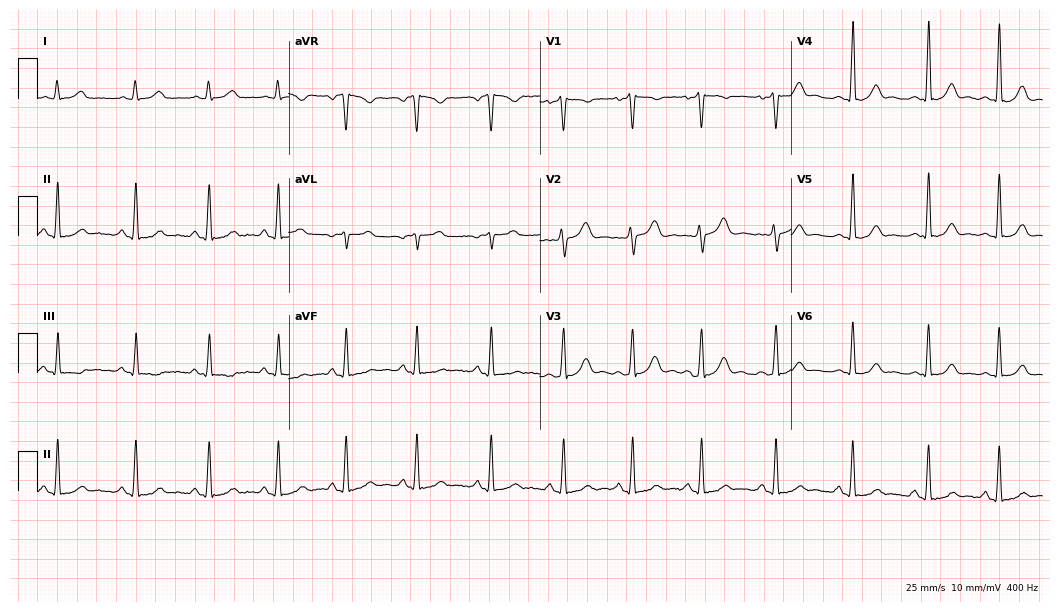
Resting 12-lead electrocardiogram. Patient: a 31-year-old woman. Read as a normal ECG.